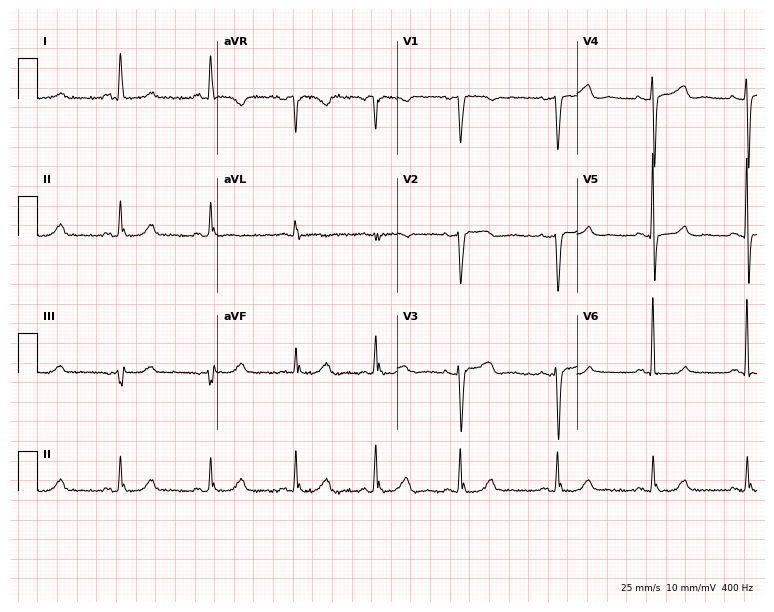
Standard 12-lead ECG recorded from a 58-year-old female patient (7.3-second recording at 400 Hz). Read as a normal ECG.